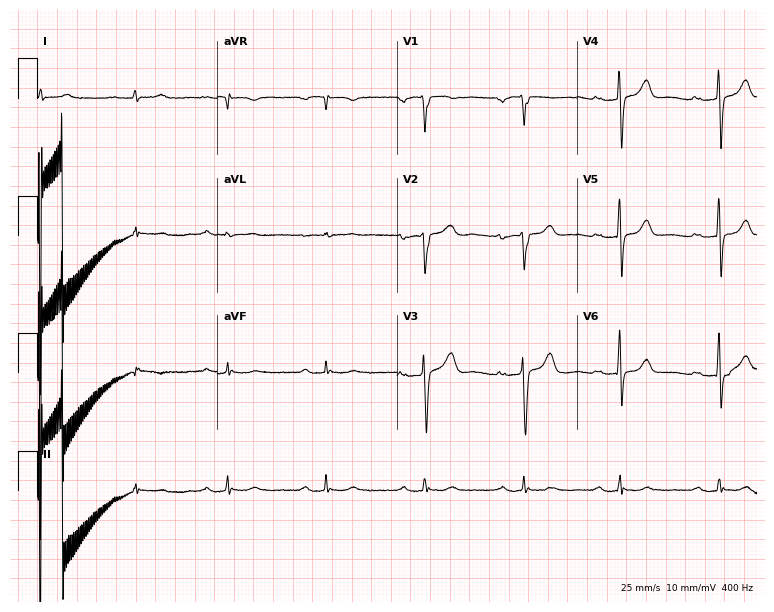
Resting 12-lead electrocardiogram (7.3-second recording at 400 Hz). Patient: a man, 71 years old. The tracing shows first-degree AV block.